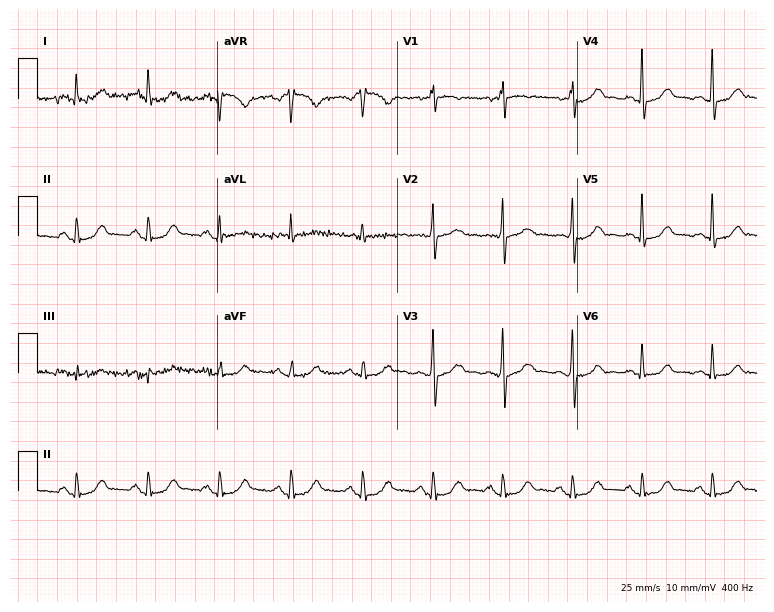
ECG — a 74-year-old man. Labelled as a normal ECG.